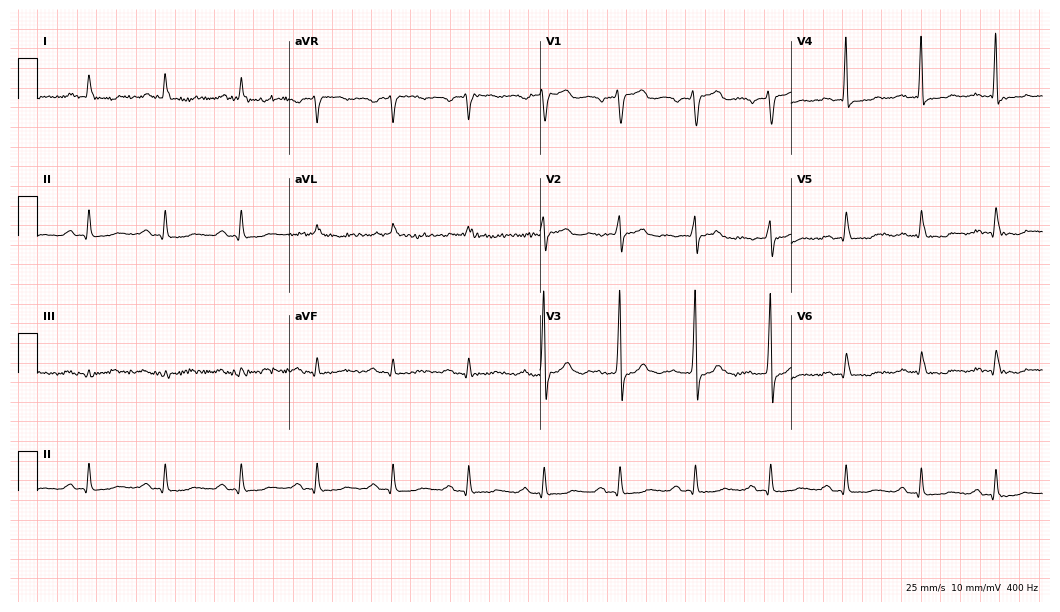
ECG (10.2-second recording at 400 Hz) — a male patient, 66 years old. Screened for six findings — first-degree AV block, right bundle branch block (RBBB), left bundle branch block (LBBB), sinus bradycardia, atrial fibrillation (AF), sinus tachycardia — none is recorded.